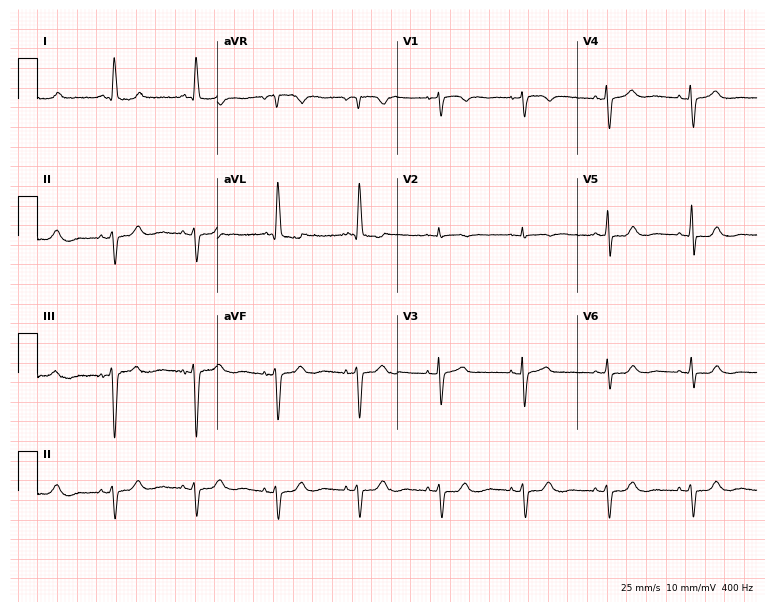
12-lead ECG from a 79-year-old woman. Screened for six findings — first-degree AV block, right bundle branch block (RBBB), left bundle branch block (LBBB), sinus bradycardia, atrial fibrillation (AF), sinus tachycardia — none is recorded. Findings outside these six are not listed.